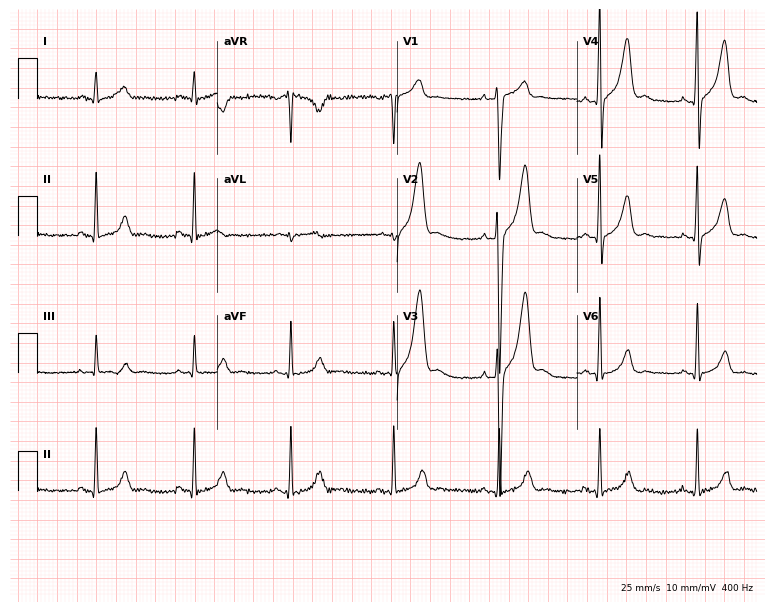
Electrocardiogram, a 30-year-old man. Of the six screened findings (first-degree AV block, right bundle branch block, left bundle branch block, sinus bradycardia, atrial fibrillation, sinus tachycardia), none is recorded. Other findings, if any, are not listed.